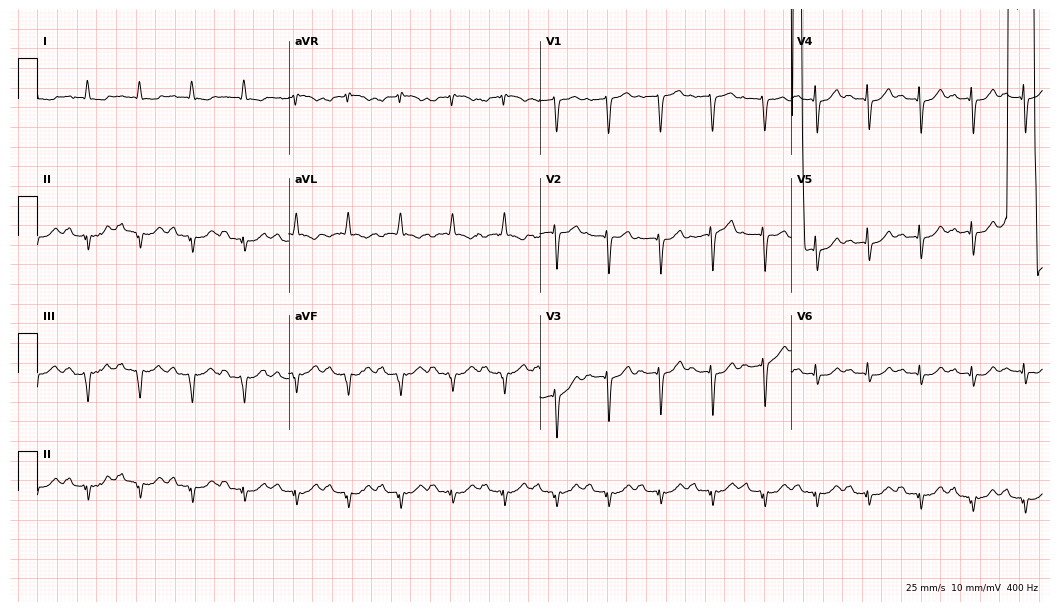
ECG (10.2-second recording at 400 Hz) — a woman, 72 years old. Findings include sinus tachycardia (a sinus rate of 100 beats per minute or more).